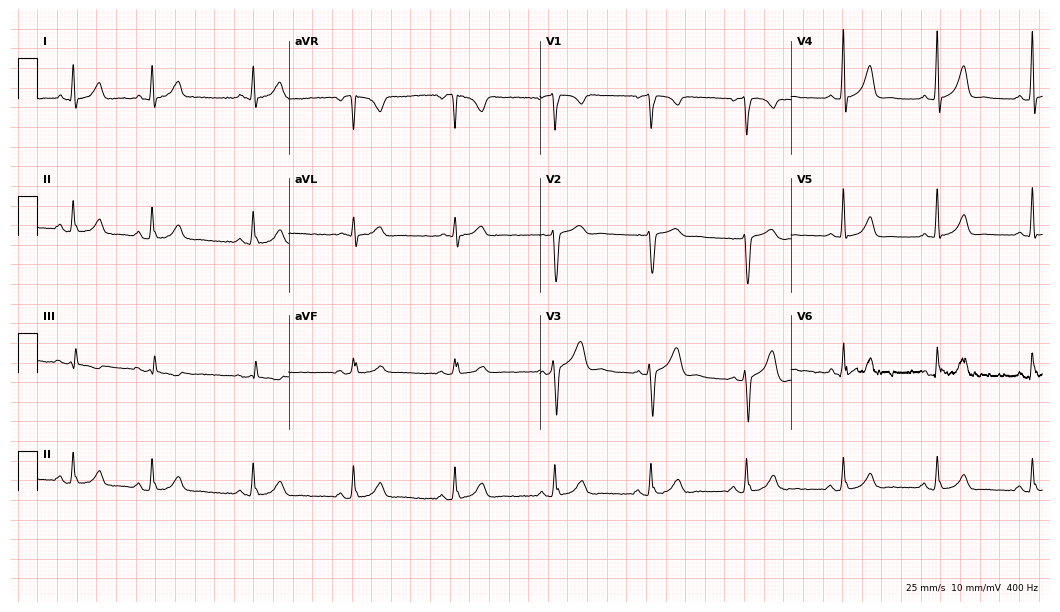
Electrocardiogram (10.2-second recording at 400 Hz), a male, 52 years old. Overall reading on record: normal ECG.